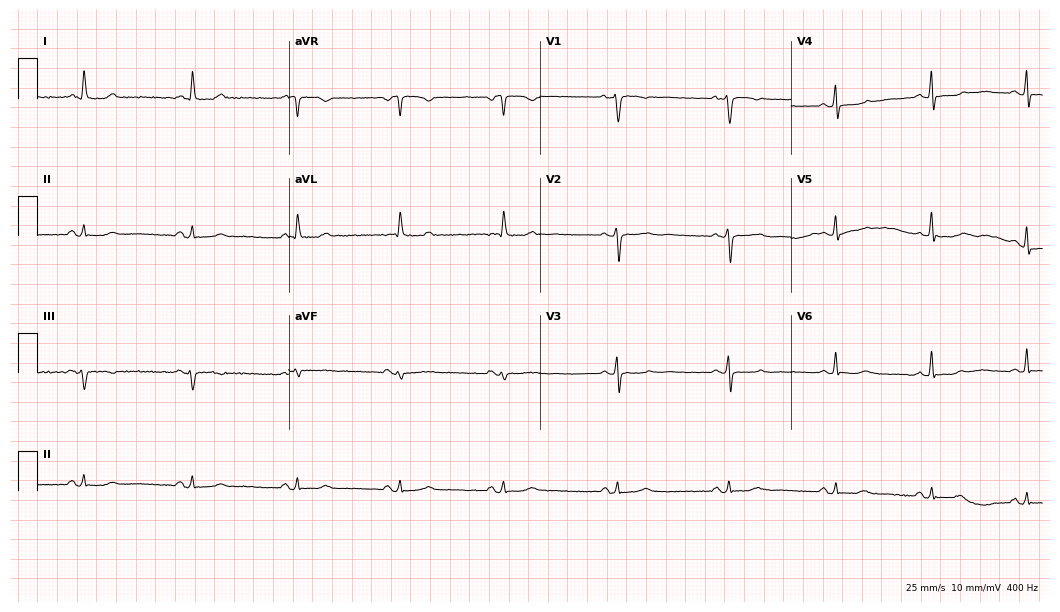
12-lead ECG from a female patient, 67 years old. Screened for six findings — first-degree AV block, right bundle branch block, left bundle branch block, sinus bradycardia, atrial fibrillation, sinus tachycardia — none is recorded. Other findings, if any, are not listed.